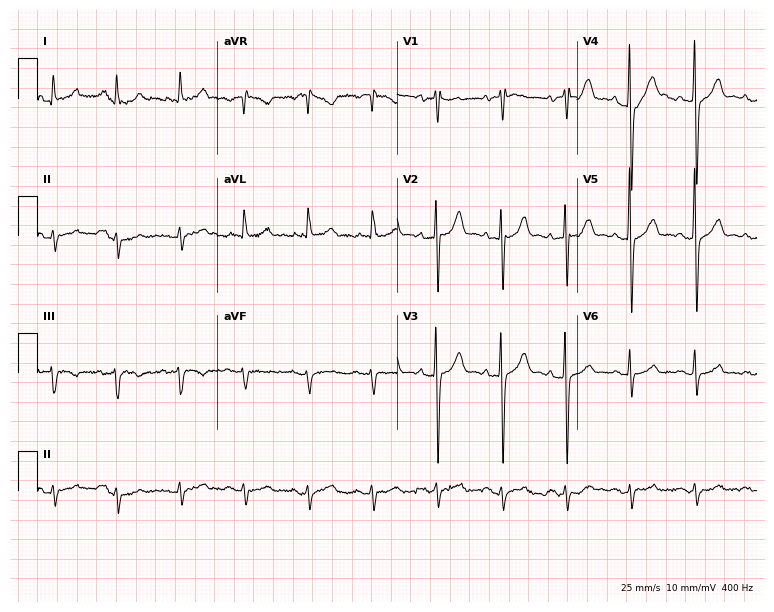
12-lead ECG (7.3-second recording at 400 Hz) from an 82-year-old male. Screened for six findings — first-degree AV block, right bundle branch block, left bundle branch block, sinus bradycardia, atrial fibrillation, sinus tachycardia — none is recorded. Other findings, if any, are not listed.